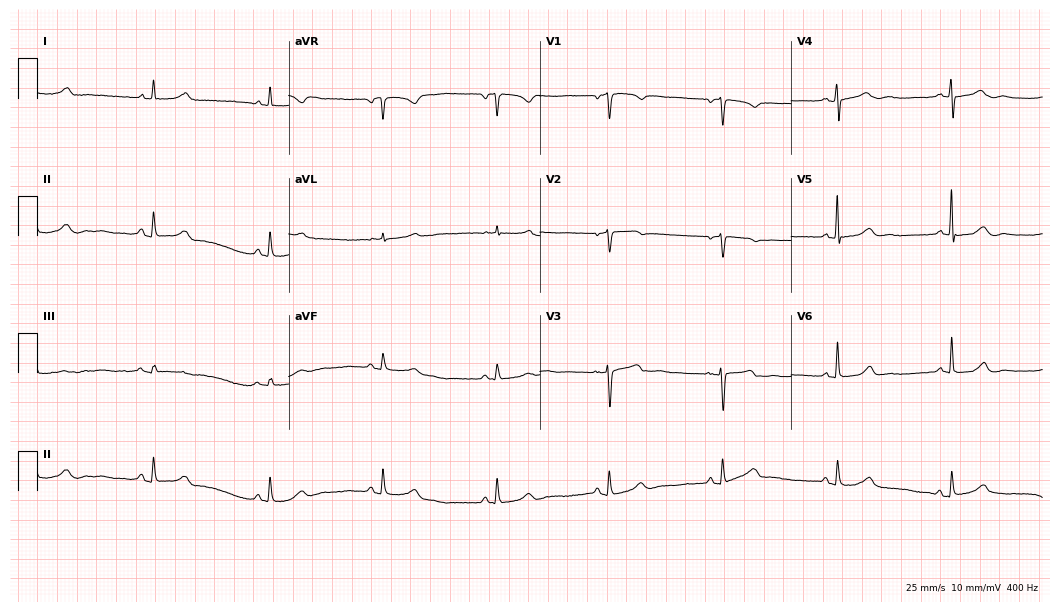
ECG — a female, 67 years old. Screened for six findings — first-degree AV block, right bundle branch block (RBBB), left bundle branch block (LBBB), sinus bradycardia, atrial fibrillation (AF), sinus tachycardia — none is recorded. Other findings, if any, are not listed.